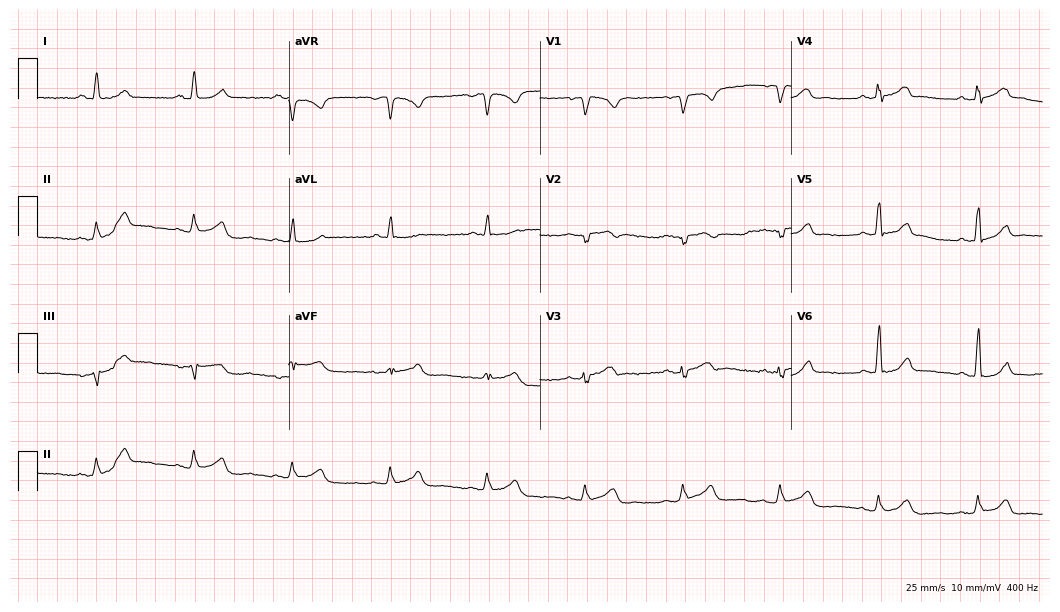
12-lead ECG from a 76-year-old male patient. Screened for six findings — first-degree AV block, right bundle branch block, left bundle branch block, sinus bradycardia, atrial fibrillation, sinus tachycardia — none is recorded. Other findings, if any, are not listed.